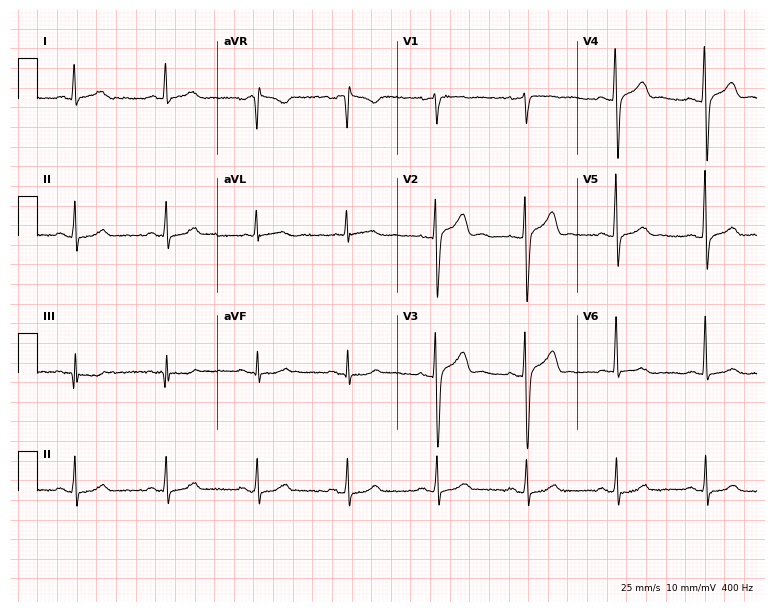
Electrocardiogram, a 46-year-old male. Overall reading on record: normal ECG.